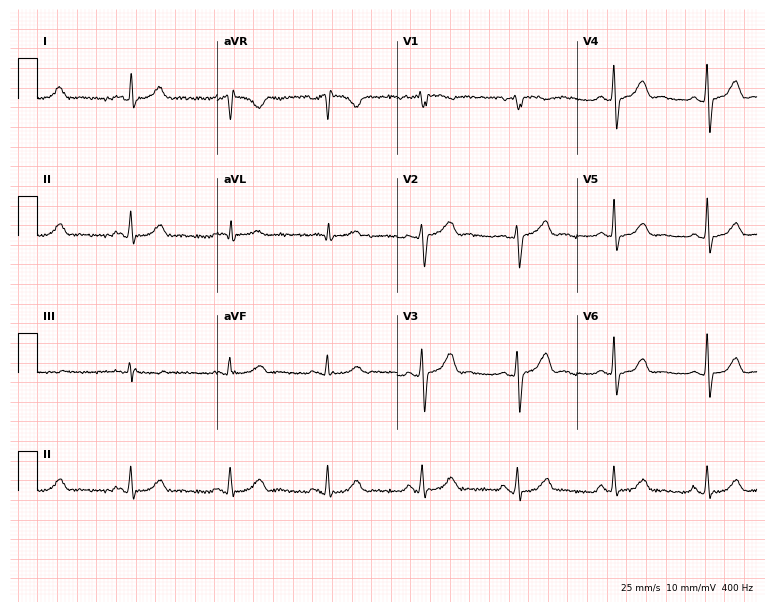
ECG (7.3-second recording at 400 Hz) — a woman, 54 years old. Labelled as a normal ECG.